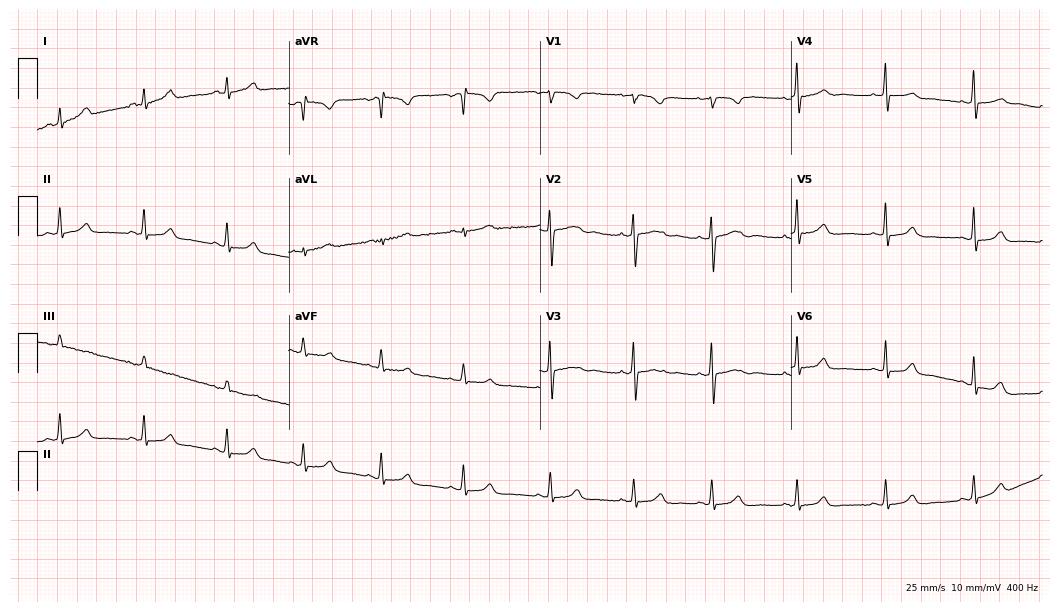
12-lead ECG from a female, 24 years old. Recorded interpretation: within normal limits.